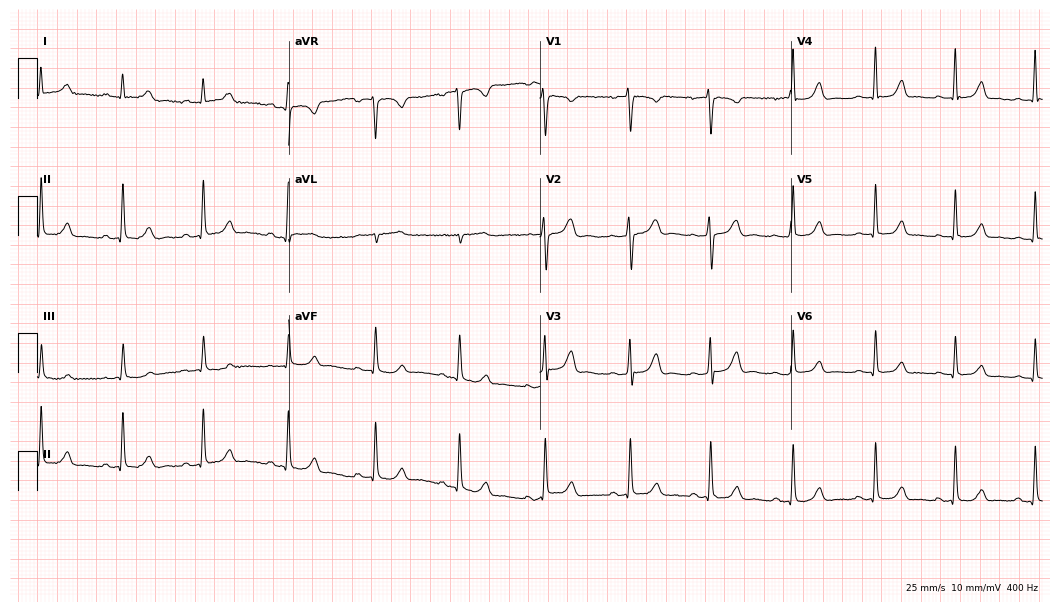
Electrocardiogram (10.2-second recording at 400 Hz), a female patient, 27 years old. Overall reading on record: normal ECG.